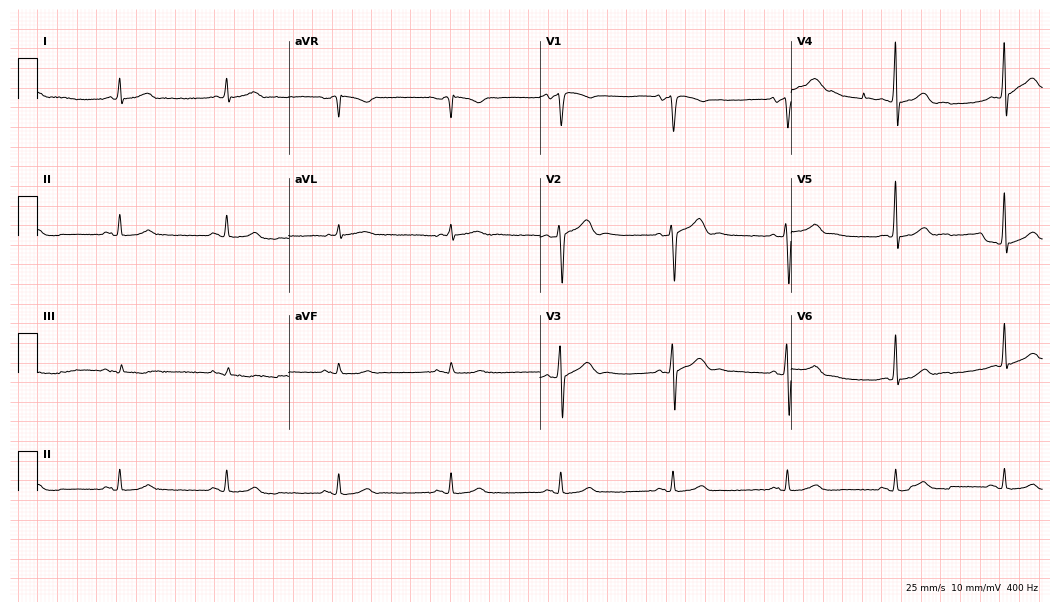
Electrocardiogram, a 79-year-old male. Overall reading on record: normal ECG.